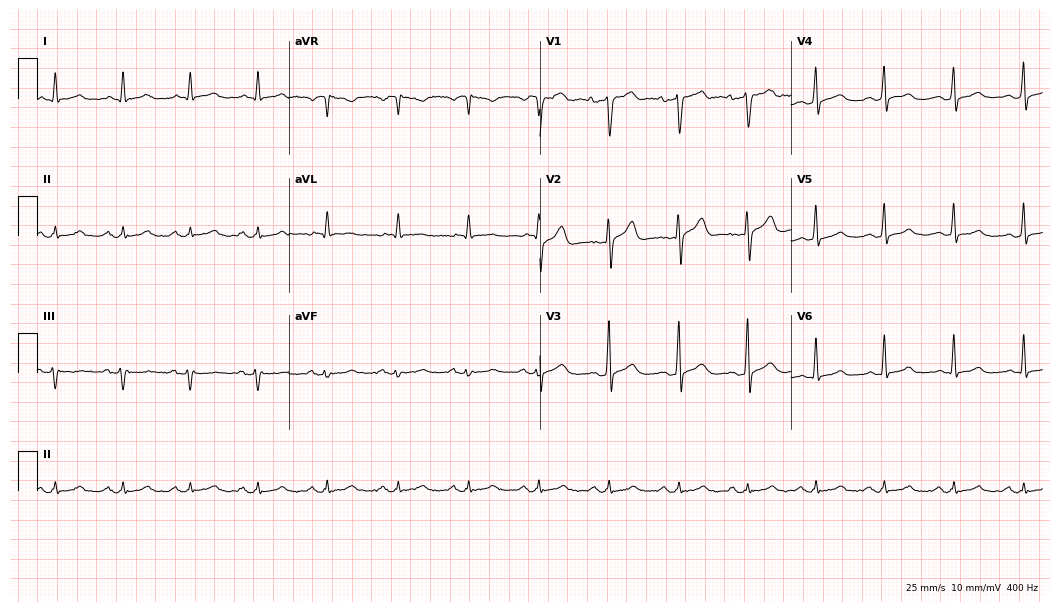
12-lead ECG from a 48-year-old male patient. Labelled as a normal ECG.